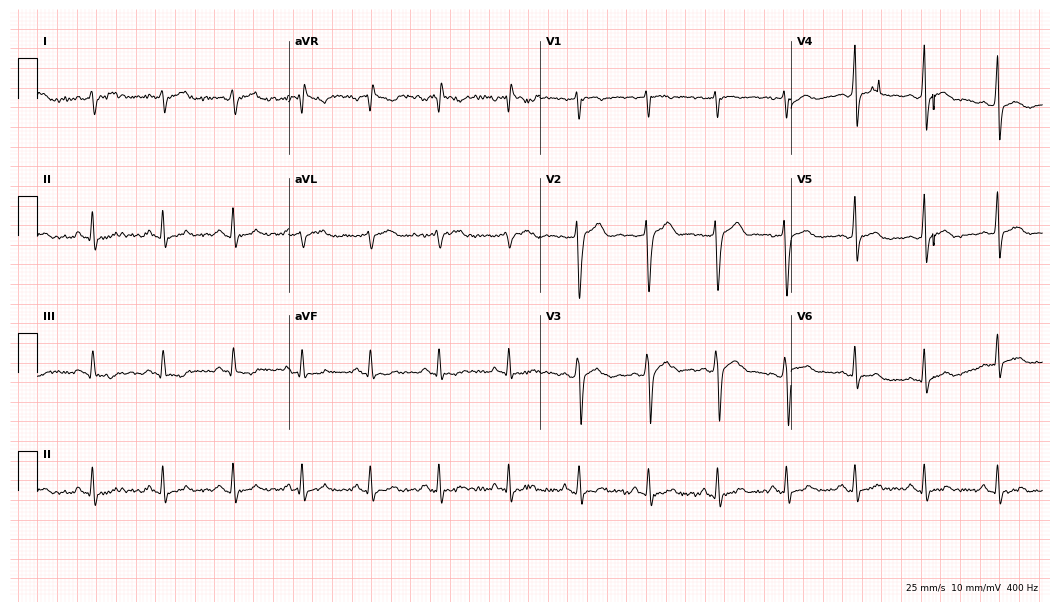
ECG — a 30-year-old male. Screened for six findings — first-degree AV block, right bundle branch block (RBBB), left bundle branch block (LBBB), sinus bradycardia, atrial fibrillation (AF), sinus tachycardia — none is recorded.